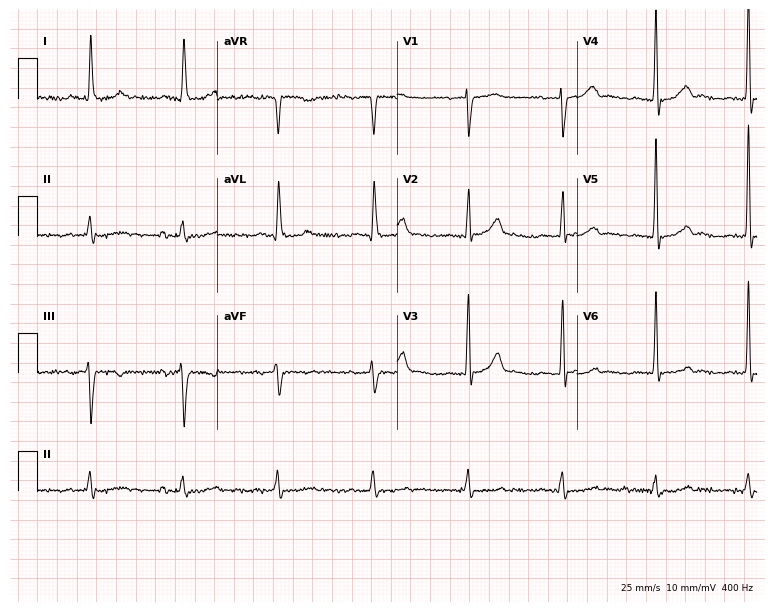
Electrocardiogram (7.3-second recording at 400 Hz), an 83-year-old female. Interpretation includes first-degree AV block.